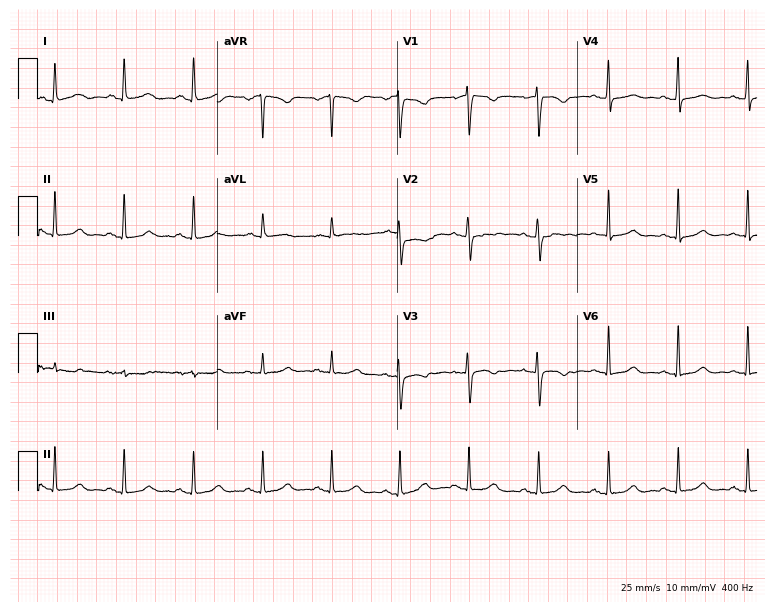
ECG (7.3-second recording at 400 Hz) — a female, 55 years old. Labelled as a normal ECG.